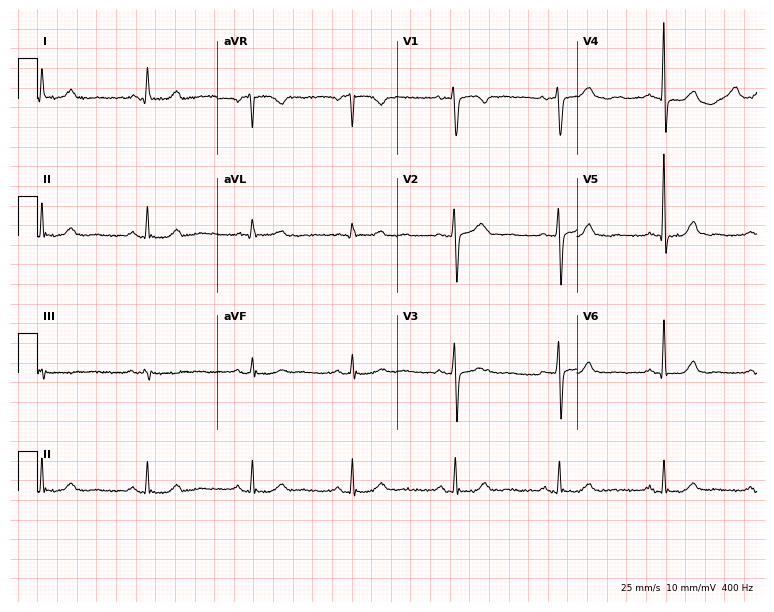
Standard 12-lead ECG recorded from a female, 52 years old. None of these six findings is recorded: first-degree AV block, right bundle branch block, left bundle branch block, sinus bradycardia, atrial fibrillation, sinus tachycardia.